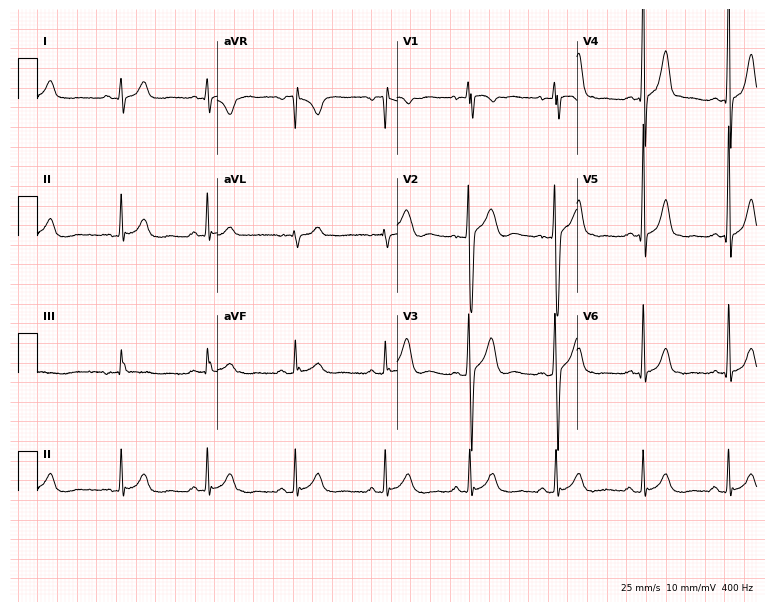
12-lead ECG from a male, 21 years old. Labelled as a normal ECG.